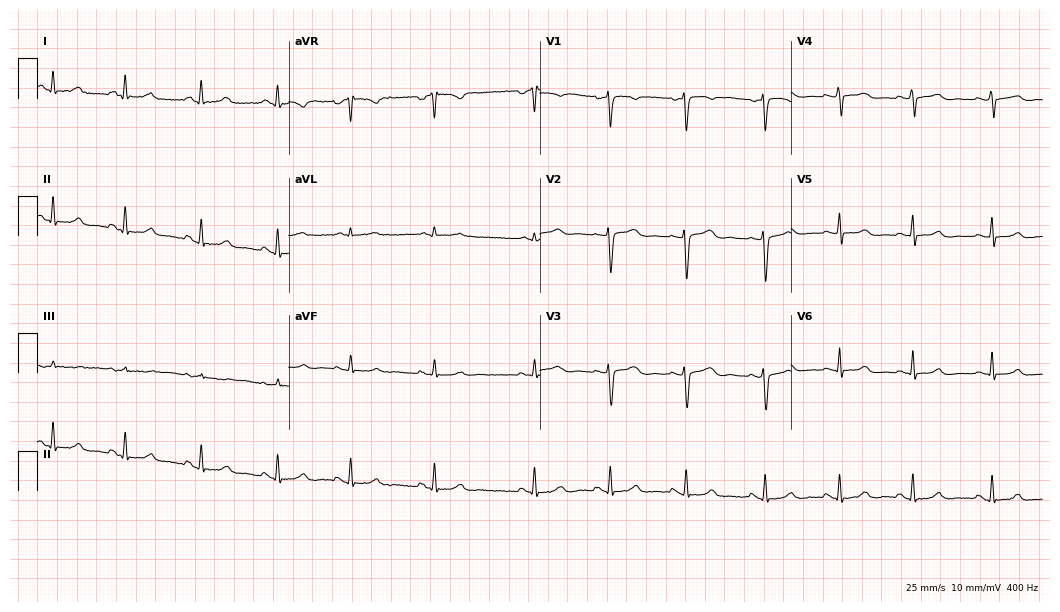
12-lead ECG from a 28-year-old woman. Recorded interpretation: within normal limits.